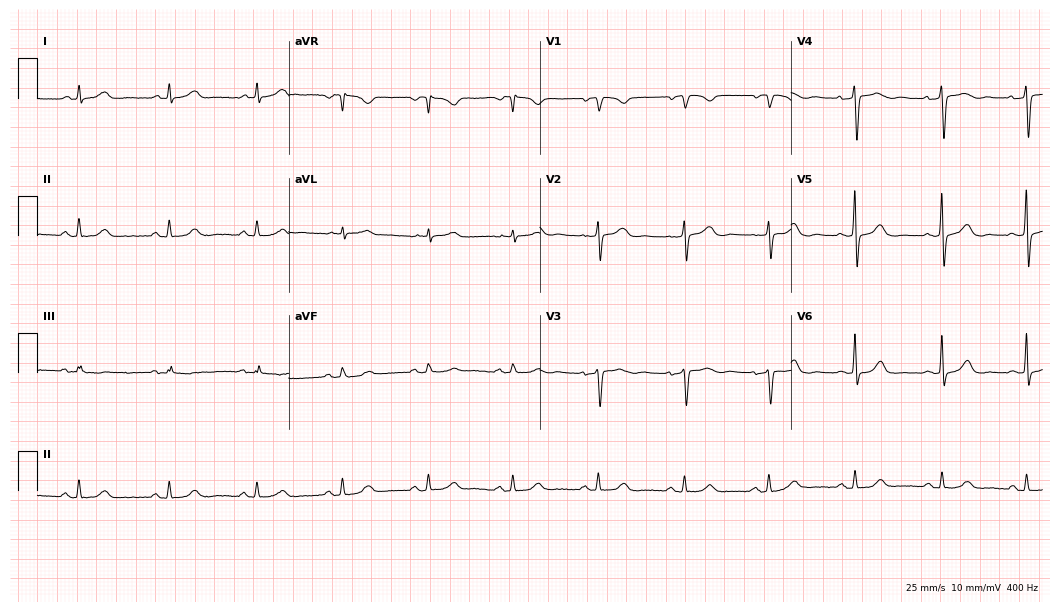
Standard 12-lead ECG recorded from a 53-year-old female patient. None of these six findings is recorded: first-degree AV block, right bundle branch block, left bundle branch block, sinus bradycardia, atrial fibrillation, sinus tachycardia.